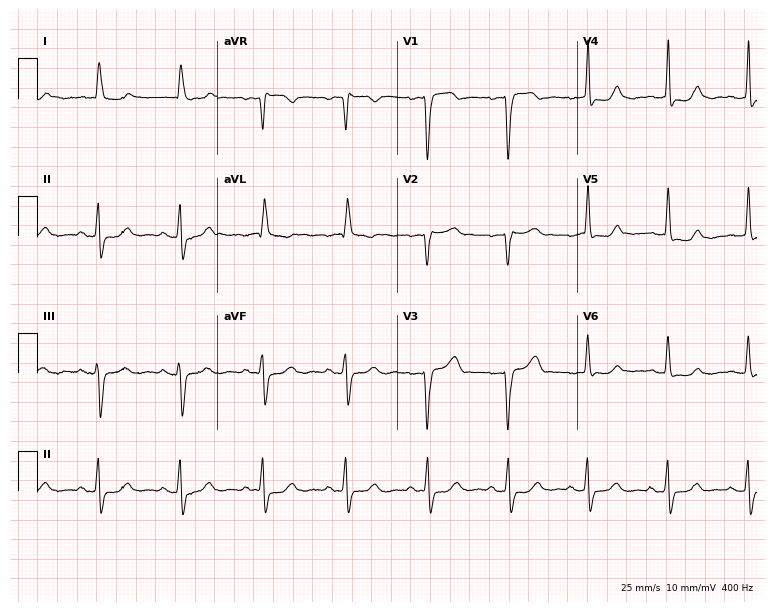
Electrocardiogram, a woman, 78 years old. Of the six screened findings (first-degree AV block, right bundle branch block (RBBB), left bundle branch block (LBBB), sinus bradycardia, atrial fibrillation (AF), sinus tachycardia), none is recorded. Only these six findings were labelled.